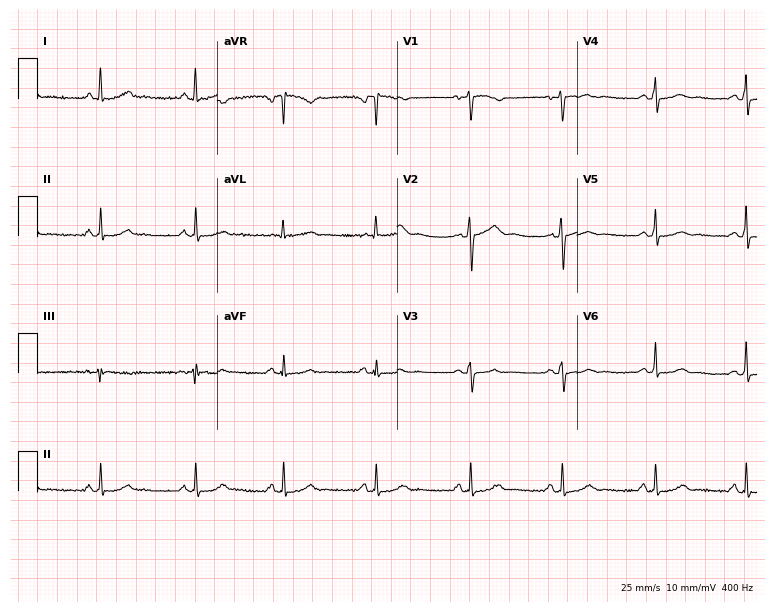
Electrocardiogram (7.3-second recording at 400 Hz), a woman, 54 years old. Overall reading on record: normal ECG.